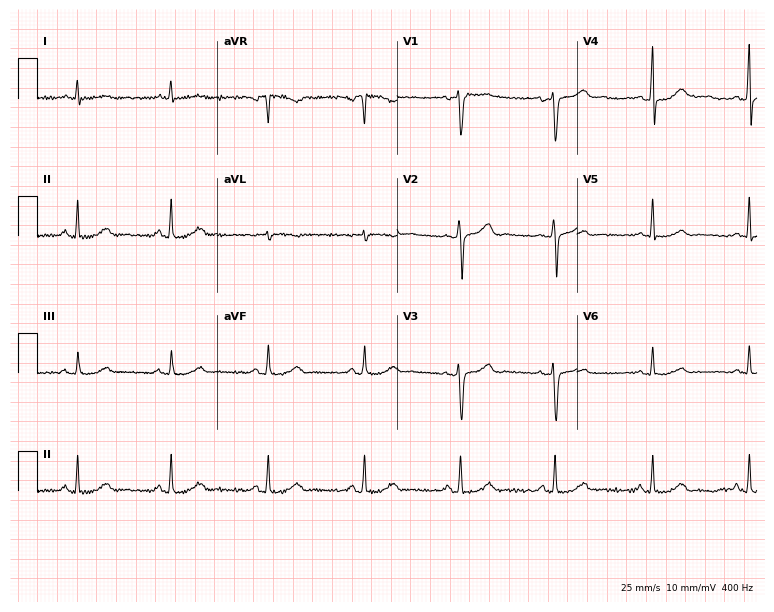
Resting 12-lead electrocardiogram (7.3-second recording at 400 Hz). Patient: a male, 57 years old. Read as a normal ECG.